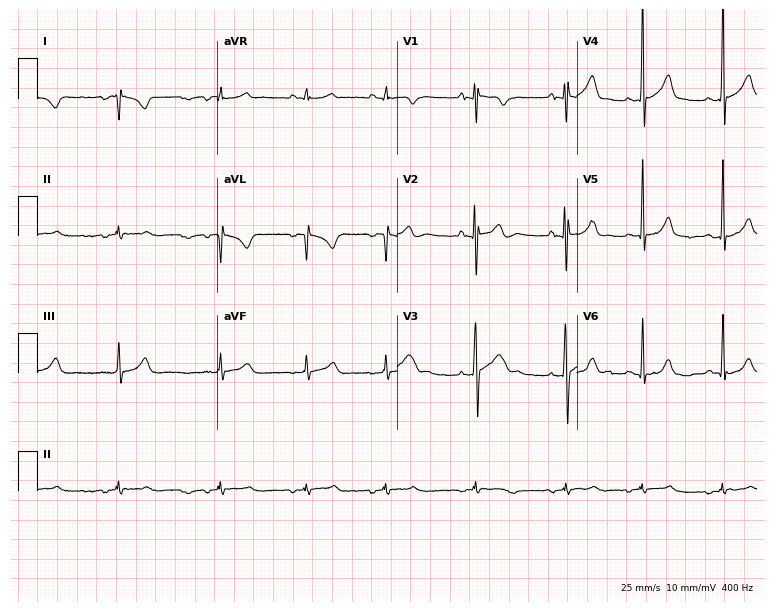
12-lead ECG from an 18-year-old male patient. Recorded interpretation: within normal limits.